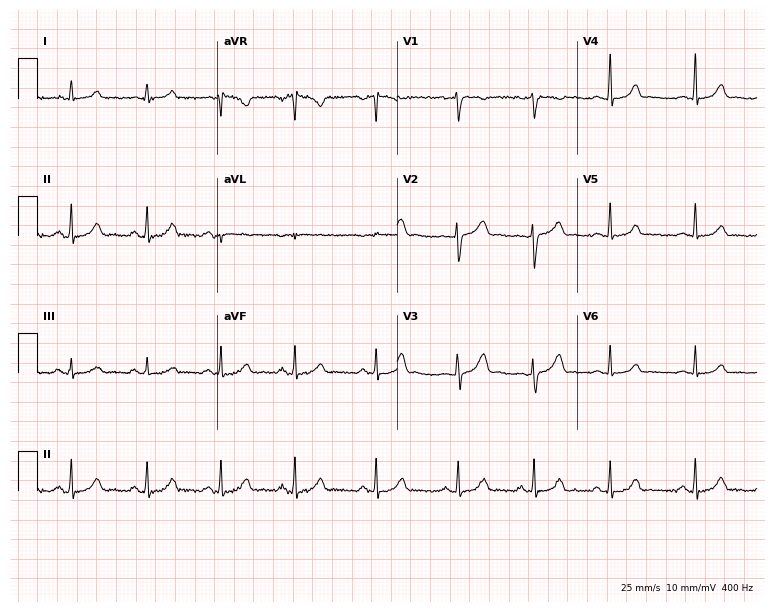
Standard 12-lead ECG recorded from a female patient, 27 years old. Read as a normal ECG.